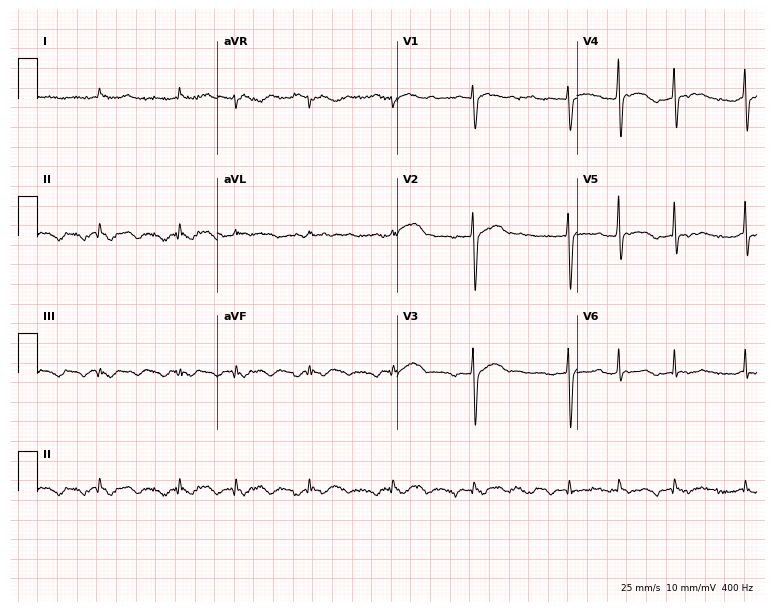
Resting 12-lead electrocardiogram. Patient: a 54-year-old male. None of these six findings is recorded: first-degree AV block, right bundle branch block (RBBB), left bundle branch block (LBBB), sinus bradycardia, atrial fibrillation (AF), sinus tachycardia.